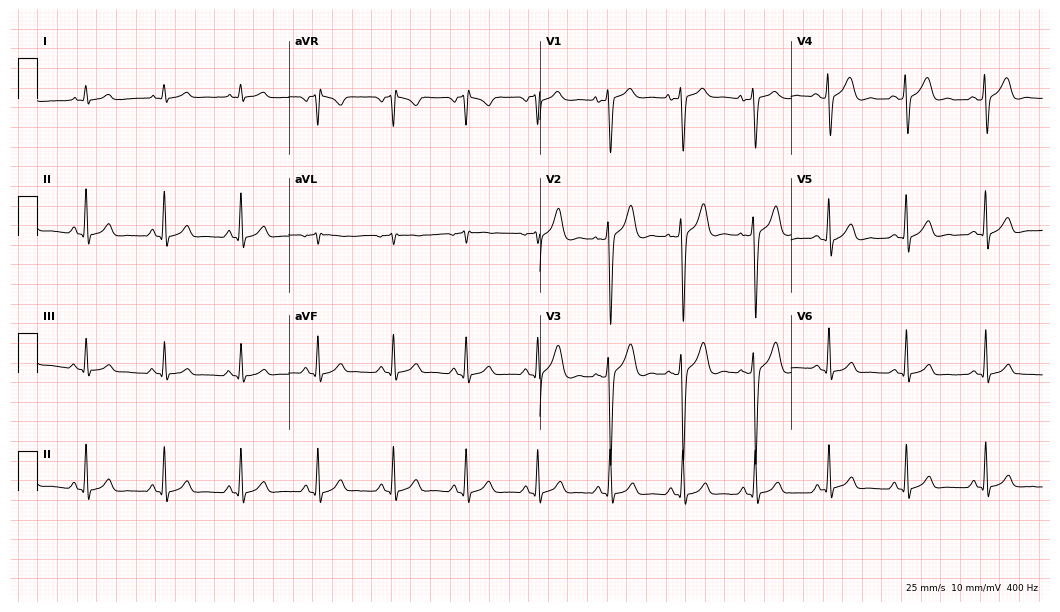
12-lead ECG from a 27-year-old woman. Labelled as a normal ECG.